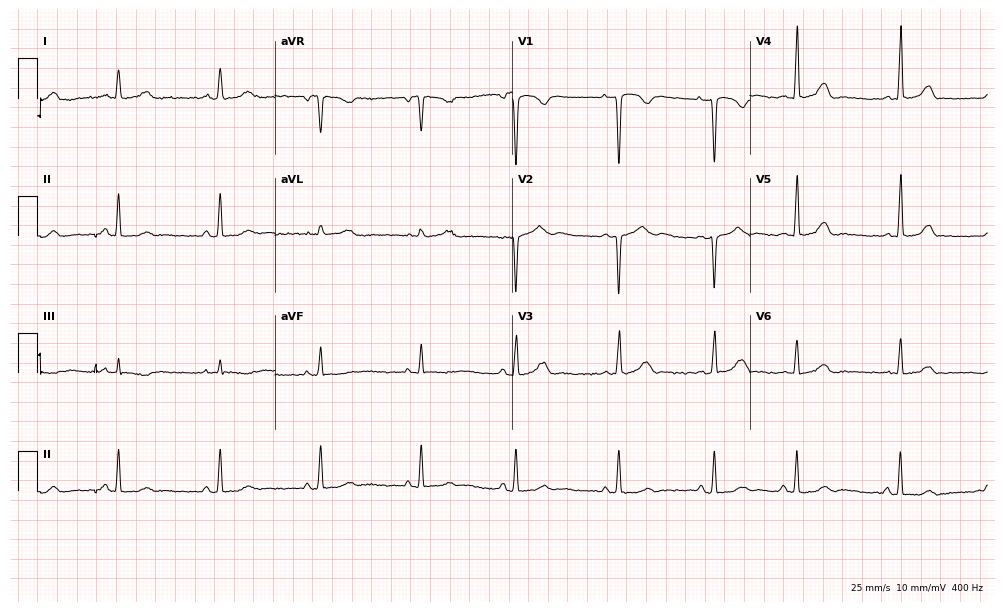
12-lead ECG from a 20-year-old female patient (9.7-second recording at 400 Hz). No first-degree AV block, right bundle branch block, left bundle branch block, sinus bradycardia, atrial fibrillation or sinus tachycardia recorded for this tracing.